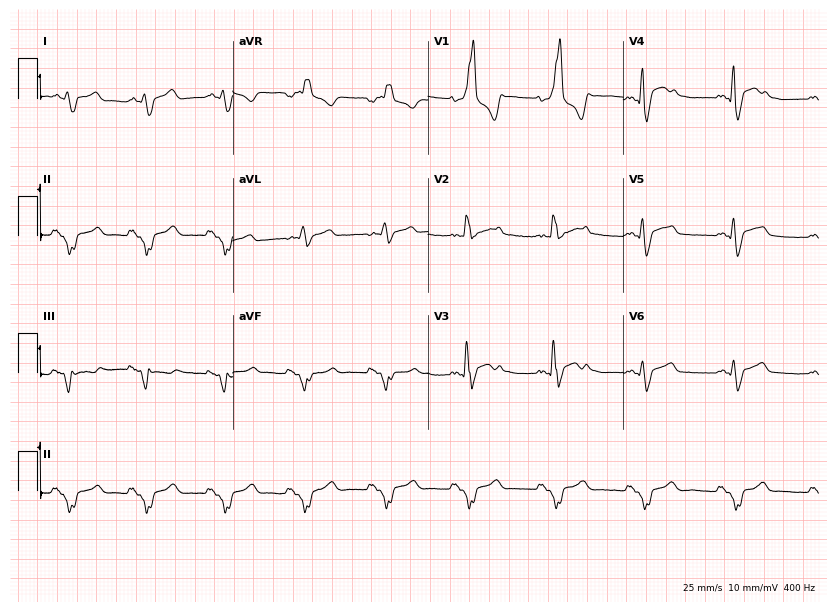
ECG — a male, 52 years old. Screened for six findings — first-degree AV block, right bundle branch block, left bundle branch block, sinus bradycardia, atrial fibrillation, sinus tachycardia — none is recorded. Only these six findings were labelled.